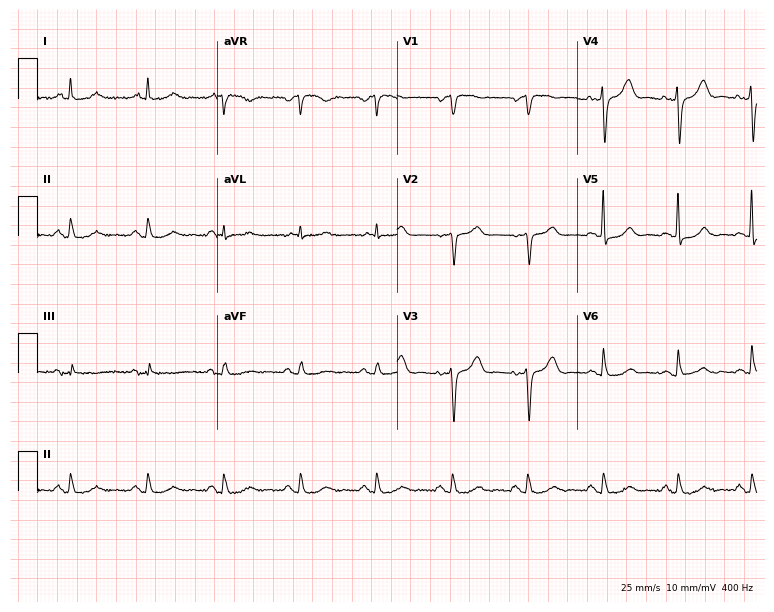
Standard 12-lead ECG recorded from a 75-year-old female patient (7.3-second recording at 400 Hz). Read as a normal ECG.